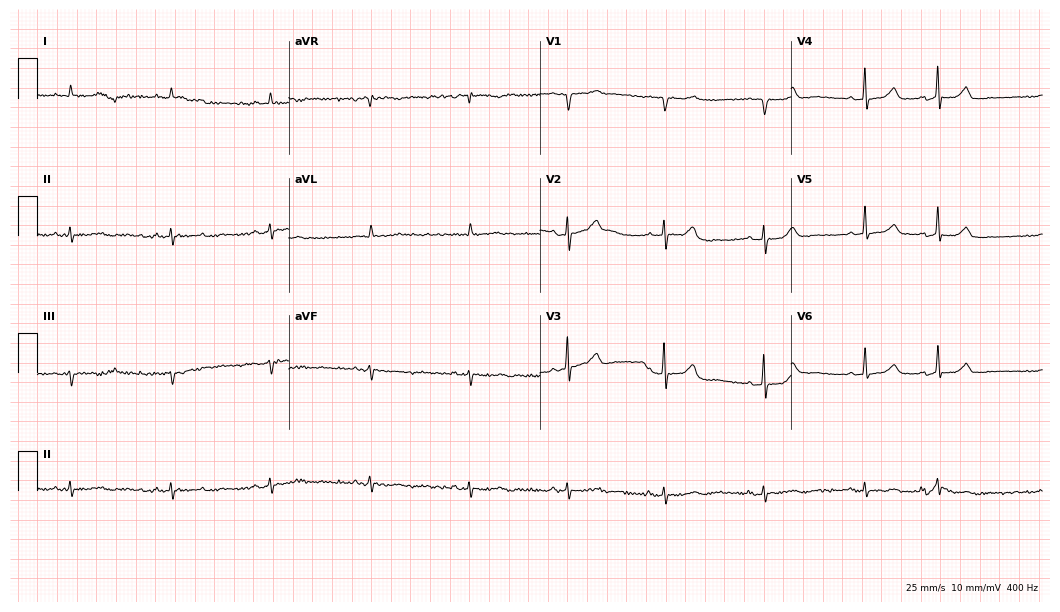
12-lead ECG from a woman, 71 years old (10.2-second recording at 400 Hz). No first-degree AV block, right bundle branch block (RBBB), left bundle branch block (LBBB), sinus bradycardia, atrial fibrillation (AF) or sinus tachycardia recorded for this tracing. Findings outside these six are not listed.